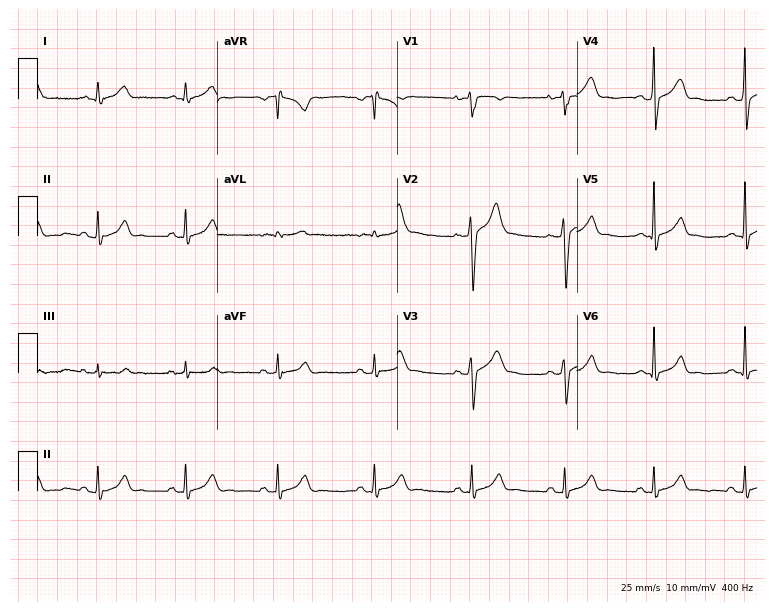
Standard 12-lead ECG recorded from a 31-year-old male. Read as a normal ECG.